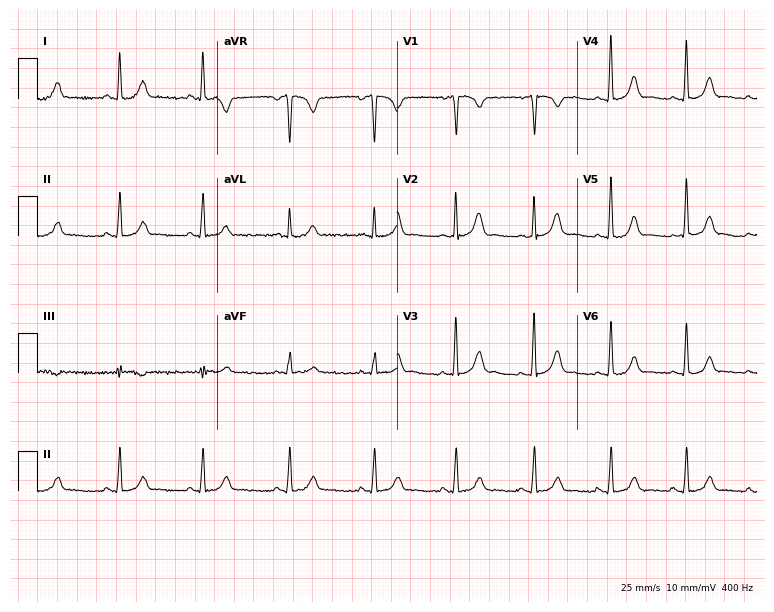
Resting 12-lead electrocardiogram. Patient: a 30-year-old female. Read as a normal ECG.